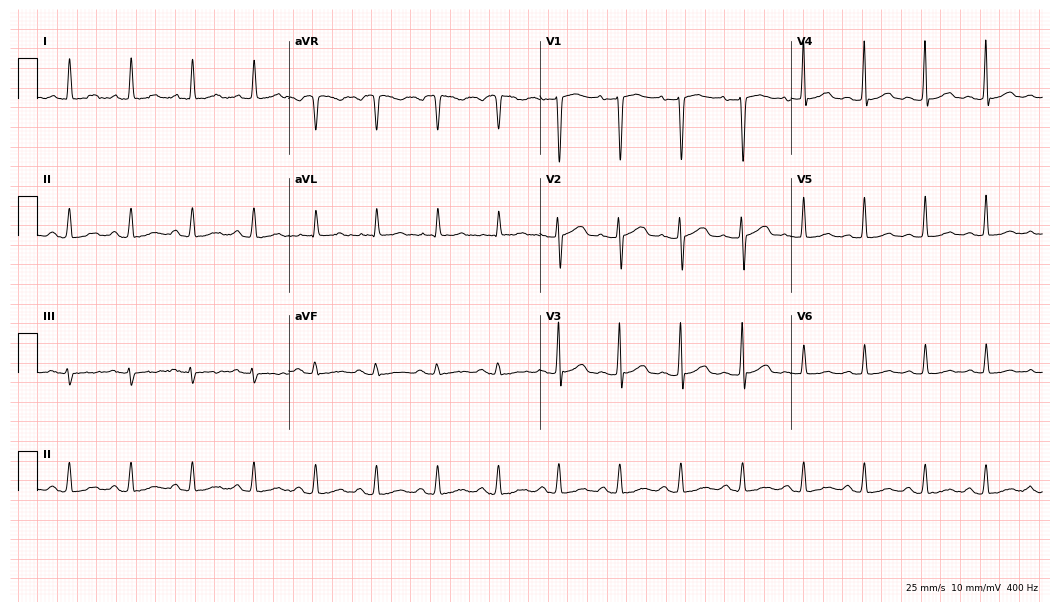
12-lead ECG from a 41-year-old female patient. Screened for six findings — first-degree AV block, right bundle branch block, left bundle branch block, sinus bradycardia, atrial fibrillation, sinus tachycardia — none is recorded. Only these six findings were labelled.